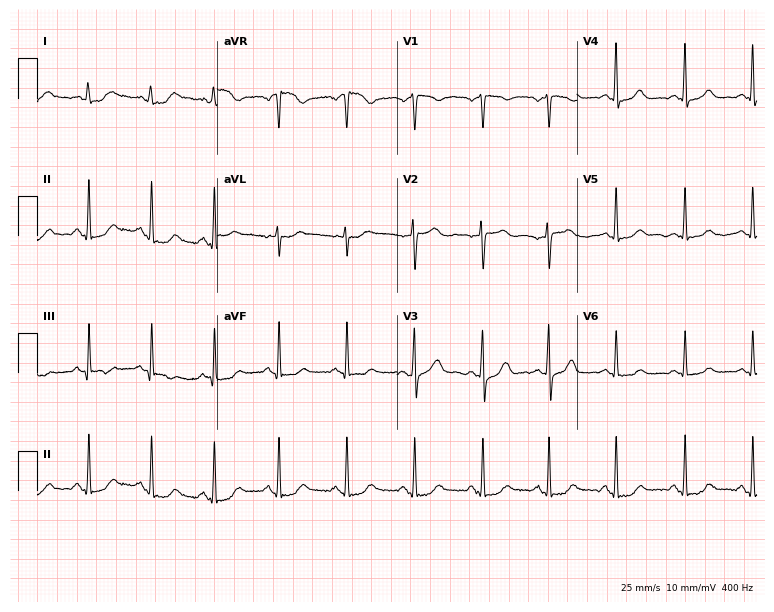
12-lead ECG from a female patient, 53 years old. Labelled as a normal ECG.